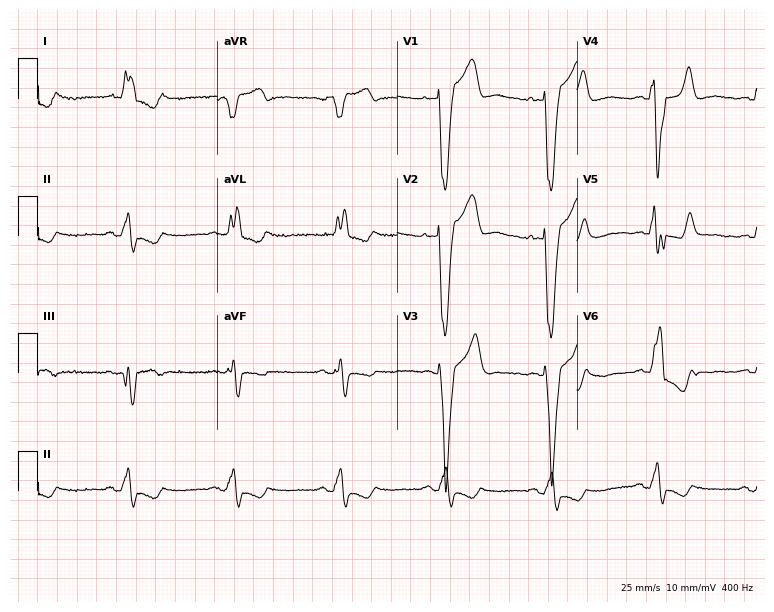
ECG (7.3-second recording at 400 Hz) — a male, 84 years old. Findings include left bundle branch block.